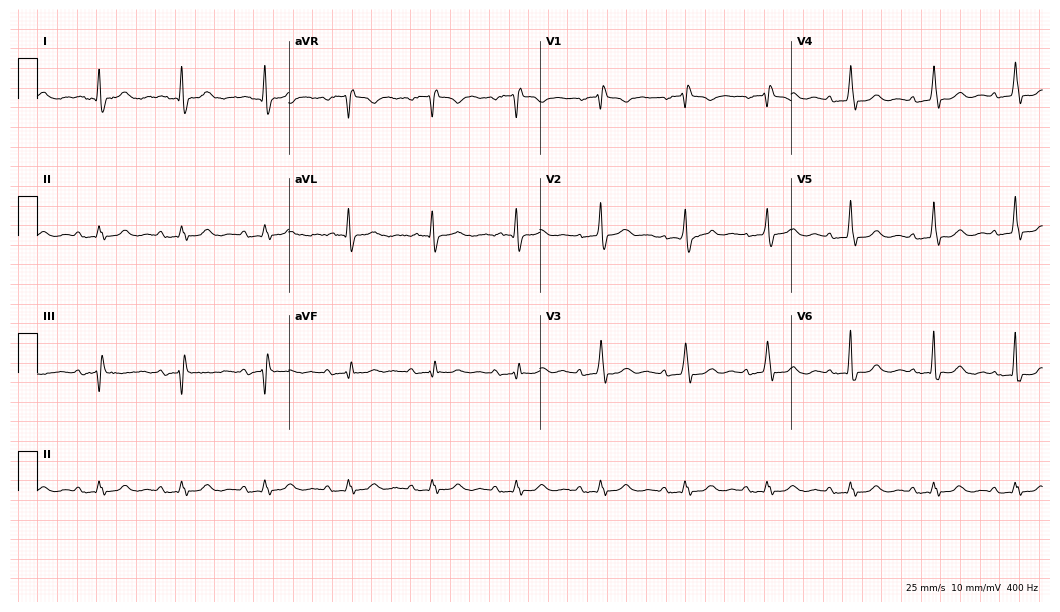
ECG — a 74-year-old male patient. Findings include first-degree AV block, right bundle branch block.